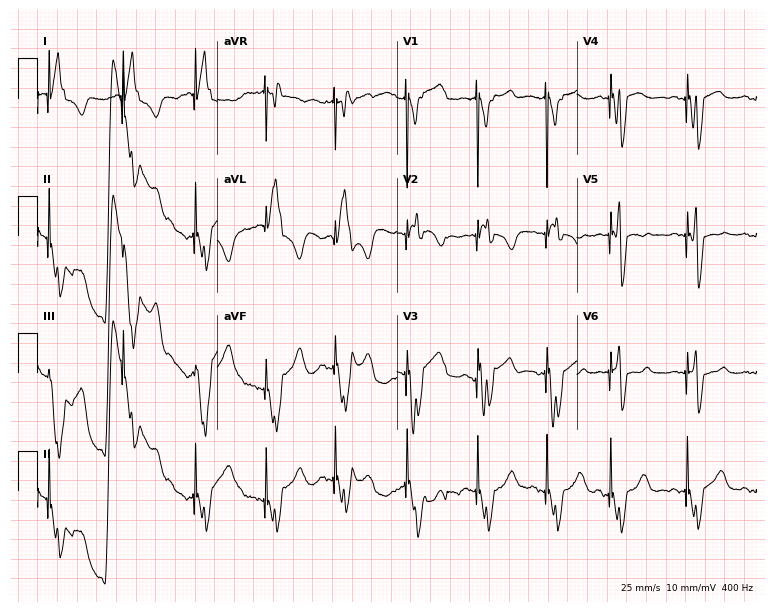
Resting 12-lead electrocardiogram (7.3-second recording at 400 Hz). Patient: a man, 85 years old. None of these six findings is recorded: first-degree AV block, right bundle branch block (RBBB), left bundle branch block (LBBB), sinus bradycardia, atrial fibrillation (AF), sinus tachycardia. Only these six findings were labelled.